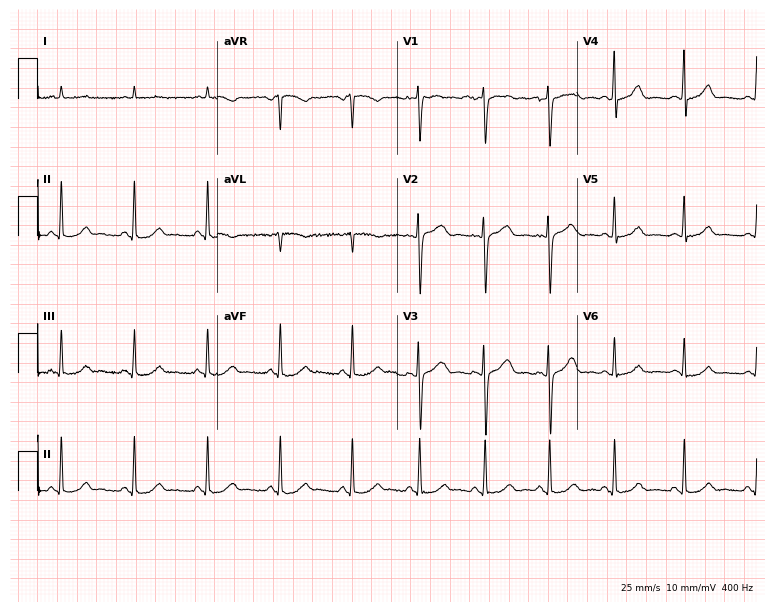
Standard 12-lead ECG recorded from a 46-year-old female (7.3-second recording at 400 Hz). Read as a normal ECG.